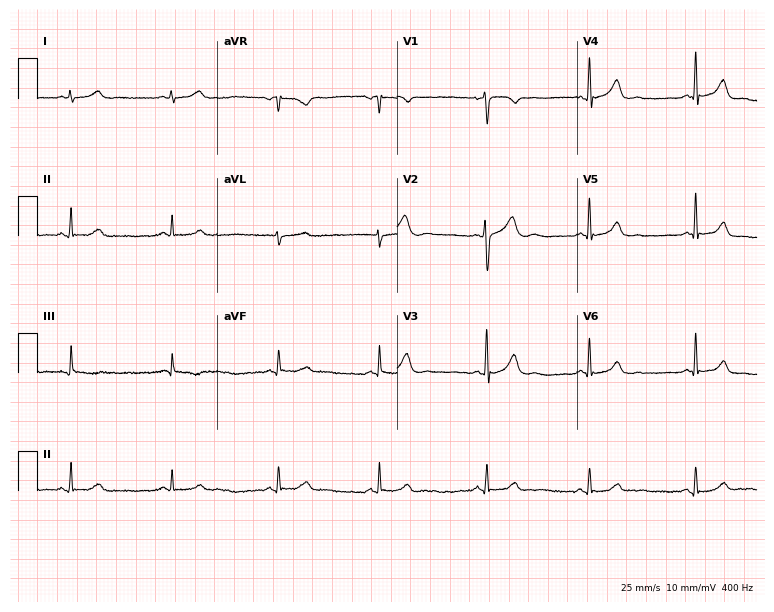
Resting 12-lead electrocardiogram. Patient: a 19-year-old male. Read as a normal ECG.